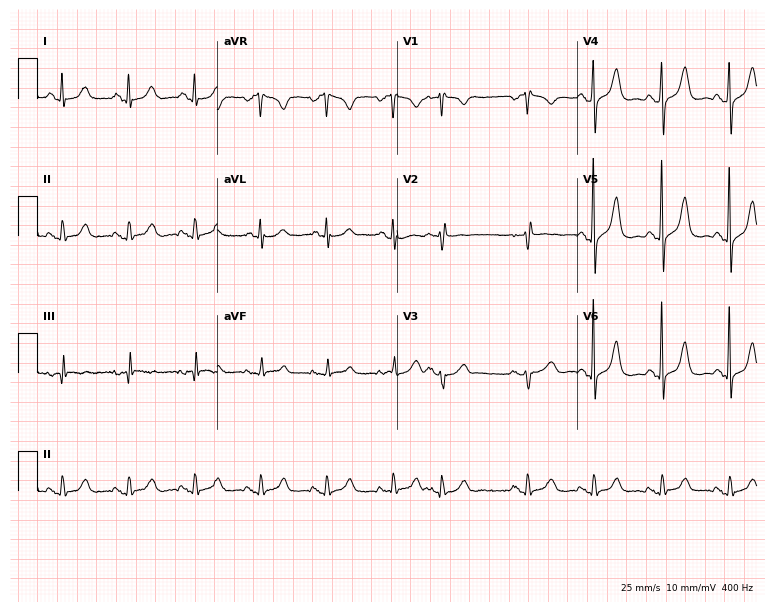
Electrocardiogram, a woman, 82 years old. Overall reading on record: normal ECG.